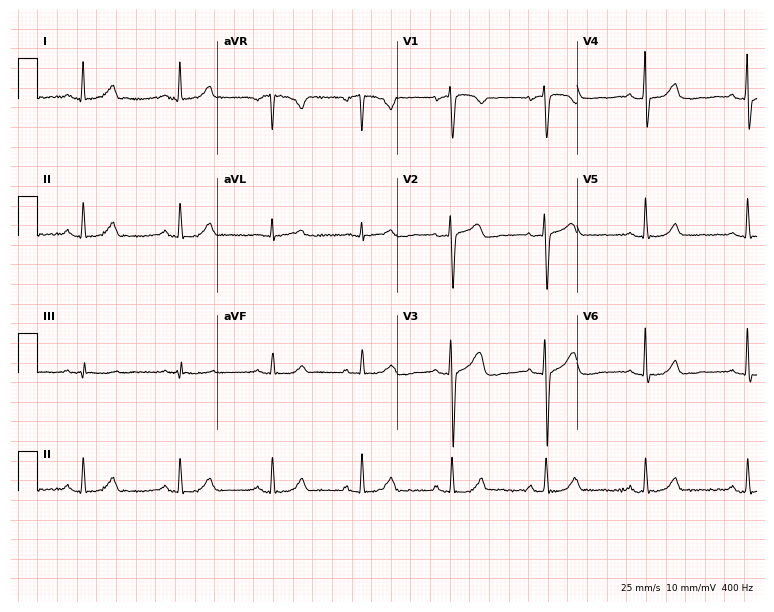
12-lead ECG from a 50-year-old woman. Labelled as a normal ECG.